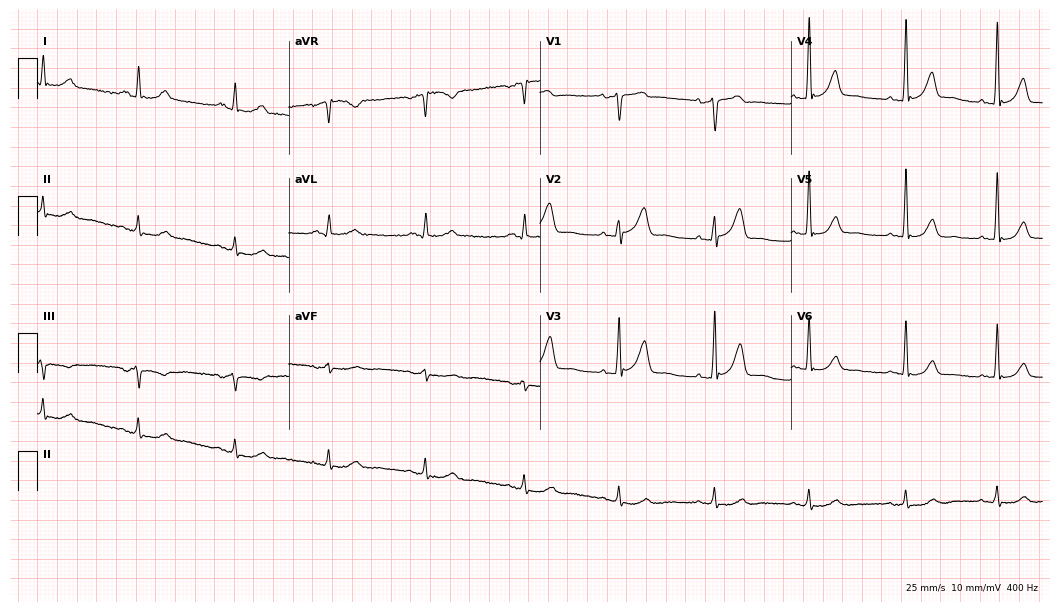
Standard 12-lead ECG recorded from a 66-year-old man (10.2-second recording at 400 Hz). Read as a normal ECG.